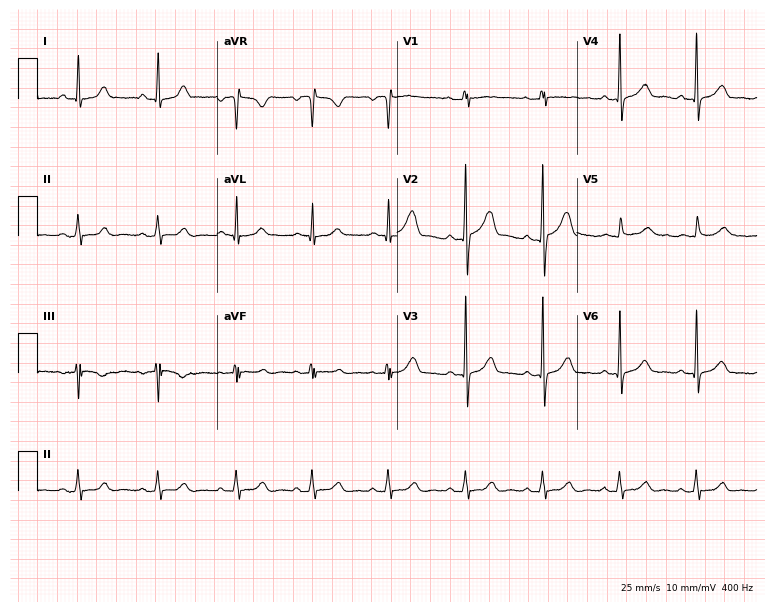
ECG (7.3-second recording at 400 Hz) — a 36-year-old female. Labelled as a normal ECG.